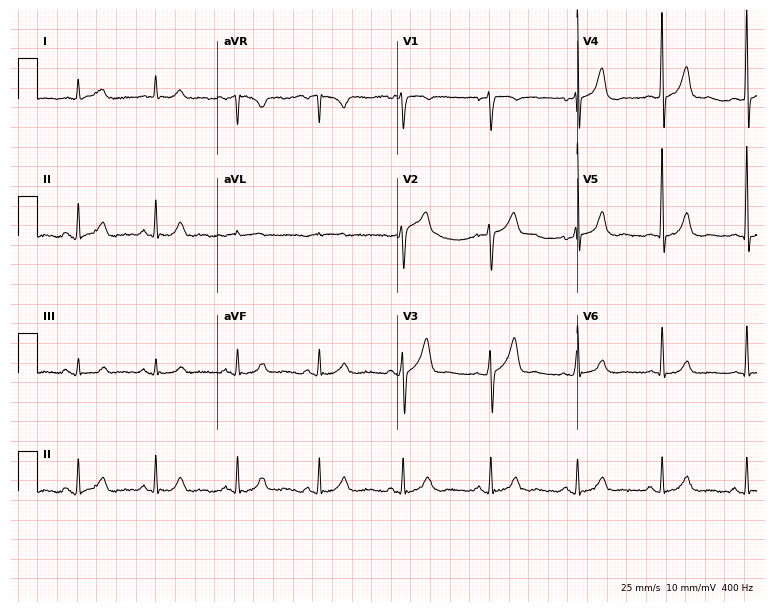
Resting 12-lead electrocardiogram (7.3-second recording at 400 Hz). Patient: a male, 57 years old. None of these six findings is recorded: first-degree AV block, right bundle branch block, left bundle branch block, sinus bradycardia, atrial fibrillation, sinus tachycardia.